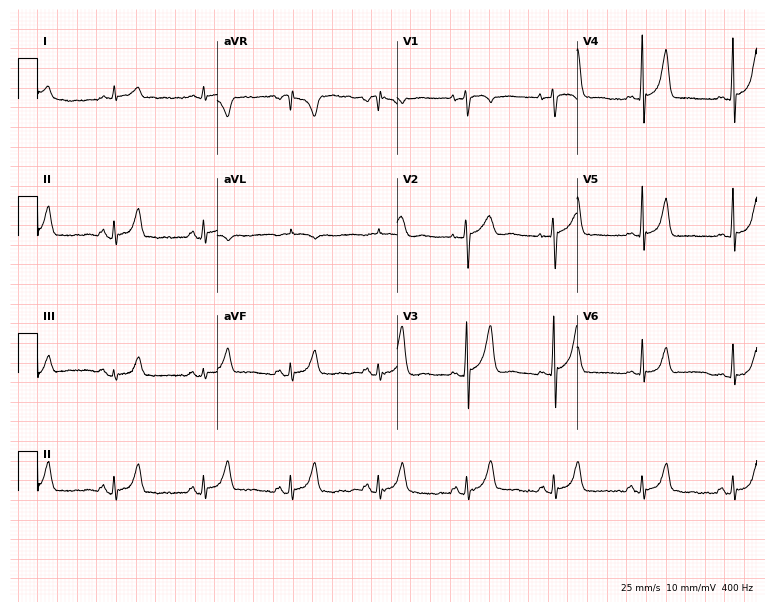
Electrocardiogram, a 66-year-old male patient. Overall reading on record: normal ECG.